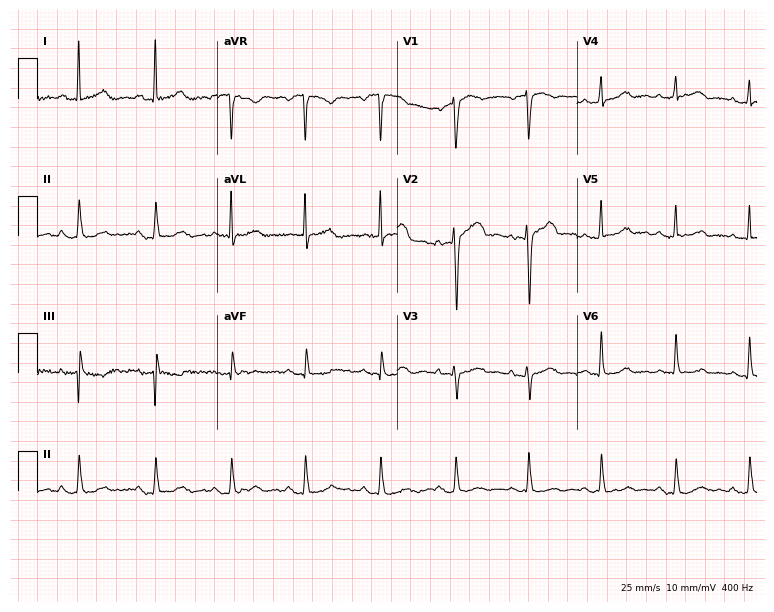
ECG — a female, 59 years old. Labelled as a normal ECG.